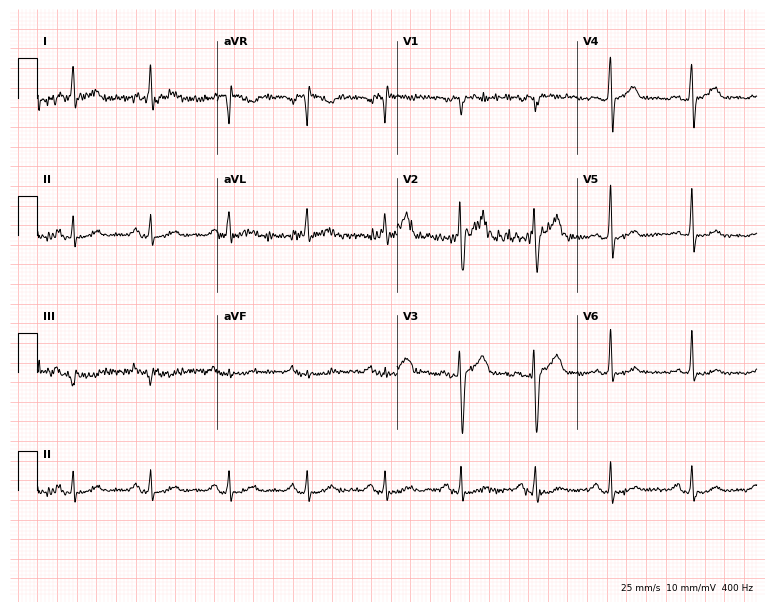
ECG — a 50-year-old man. Labelled as a normal ECG.